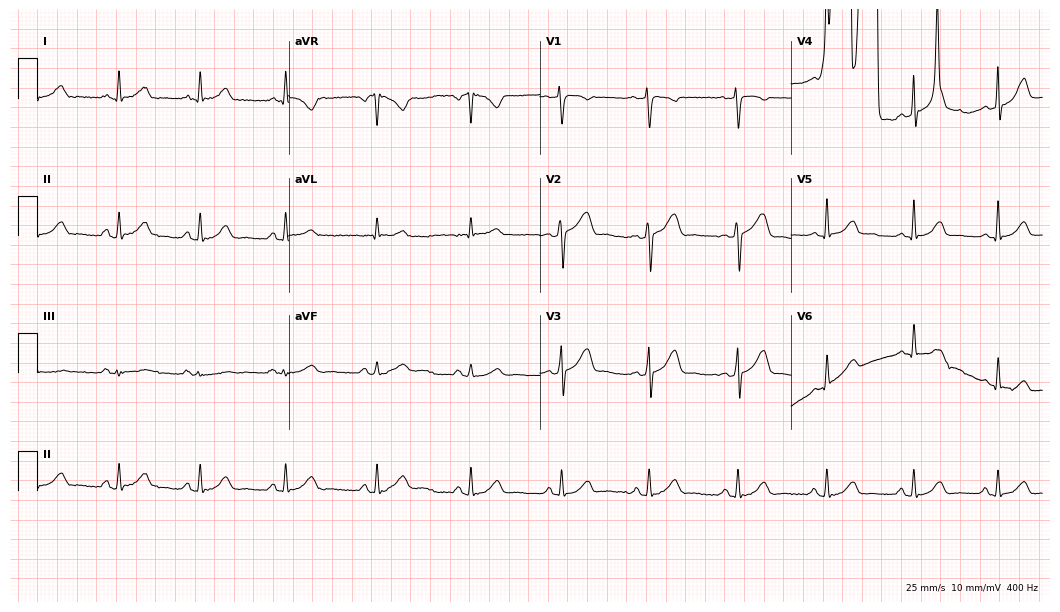
Resting 12-lead electrocardiogram (10.2-second recording at 400 Hz). Patient: a 41-year-old female. None of these six findings is recorded: first-degree AV block, right bundle branch block, left bundle branch block, sinus bradycardia, atrial fibrillation, sinus tachycardia. Other findings, if any, are not listed.